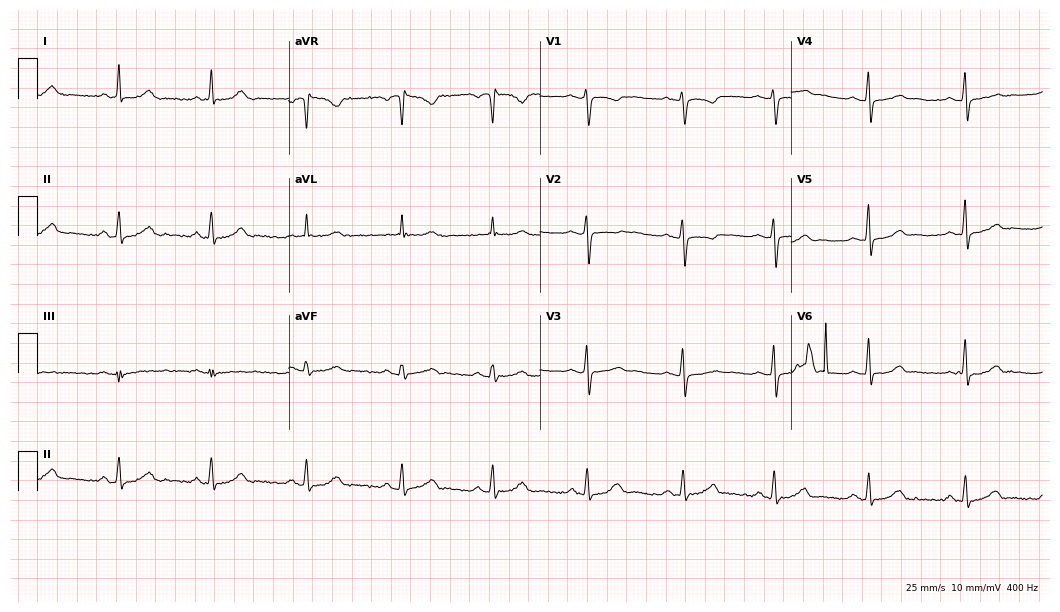
12-lead ECG from a female, 42 years old. Screened for six findings — first-degree AV block, right bundle branch block, left bundle branch block, sinus bradycardia, atrial fibrillation, sinus tachycardia — none is recorded. Other findings, if any, are not listed.